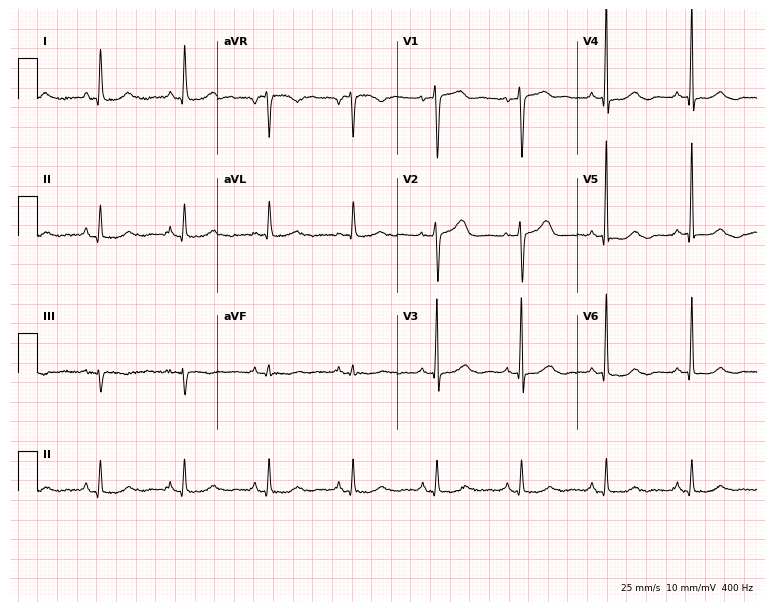
Resting 12-lead electrocardiogram (7.3-second recording at 400 Hz). Patient: a 72-year-old female. None of these six findings is recorded: first-degree AV block, right bundle branch block (RBBB), left bundle branch block (LBBB), sinus bradycardia, atrial fibrillation (AF), sinus tachycardia. Other findings, if any, are not listed.